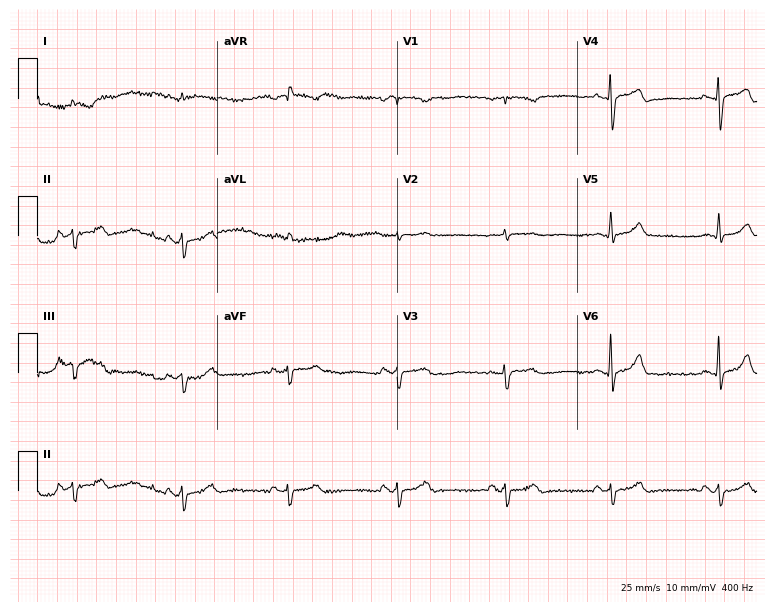
Resting 12-lead electrocardiogram (7.3-second recording at 400 Hz). Patient: a male, 80 years old. None of these six findings is recorded: first-degree AV block, right bundle branch block (RBBB), left bundle branch block (LBBB), sinus bradycardia, atrial fibrillation (AF), sinus tachycardia.